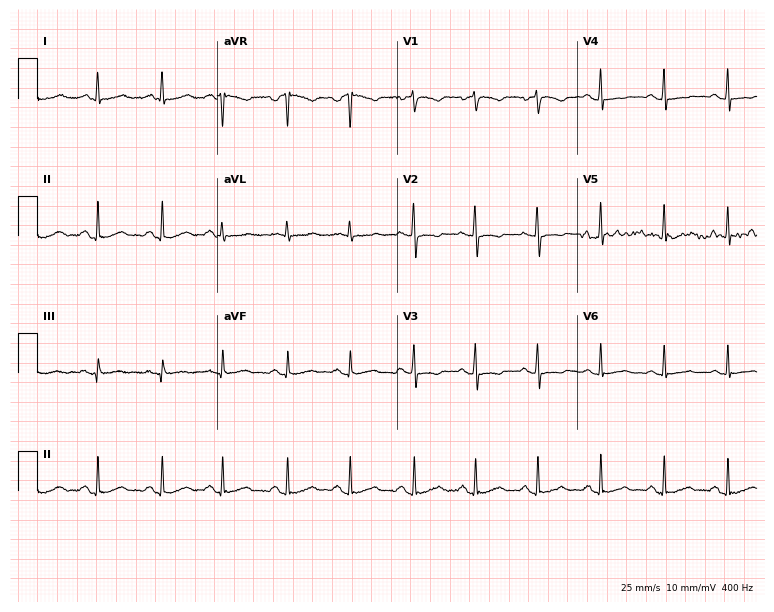
ECG (7.3-second recording at 400 Hz) — a female, 62 years old. Screened for six findings — first-degree AV block, right bundle branch block (RBBB), left bundle branch block (LBBB), sinus bradycardia, atrial fibrillation (AF), sinus tachycardia — none is recorded. Other findings, if any, are not listed.